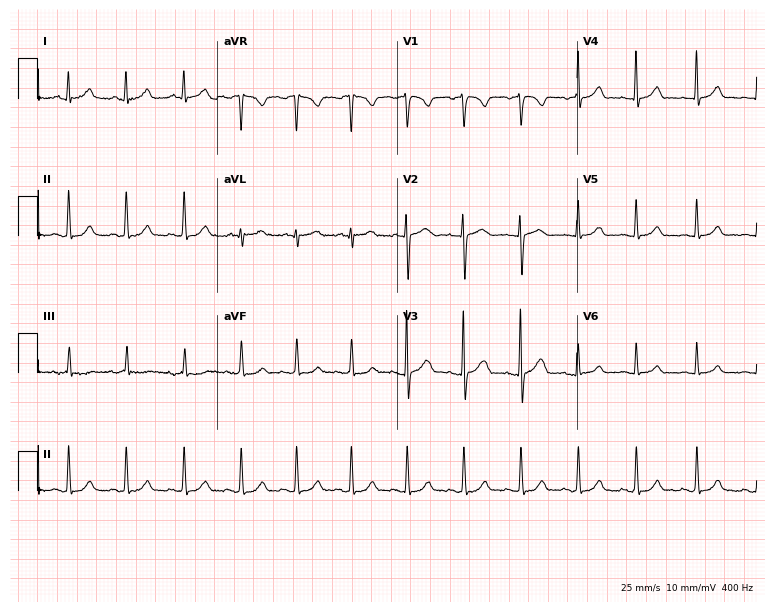
ECG — a 27-year-old female. Findings include sinus tachycardia (a sinus rate of 100 beats per minute or more).